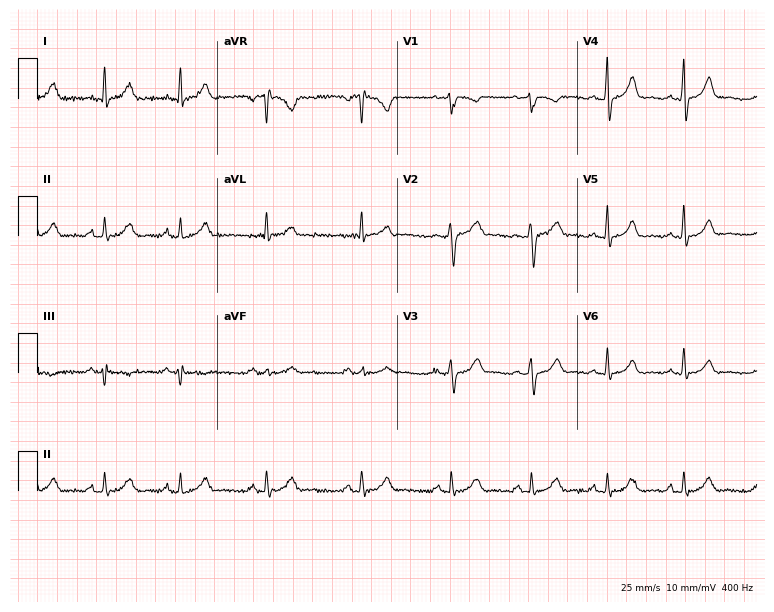
Electrocardiogram (7.3-second recording at 400 Hz), a female, 34 years old. Of the six screened findings (first-degree AV block, right bundle branch block, left bundle branch block, sinus bradycardia, atrial fibrillation, sinus tachycardia), none is recorded. Other findings, if any, are not listed.